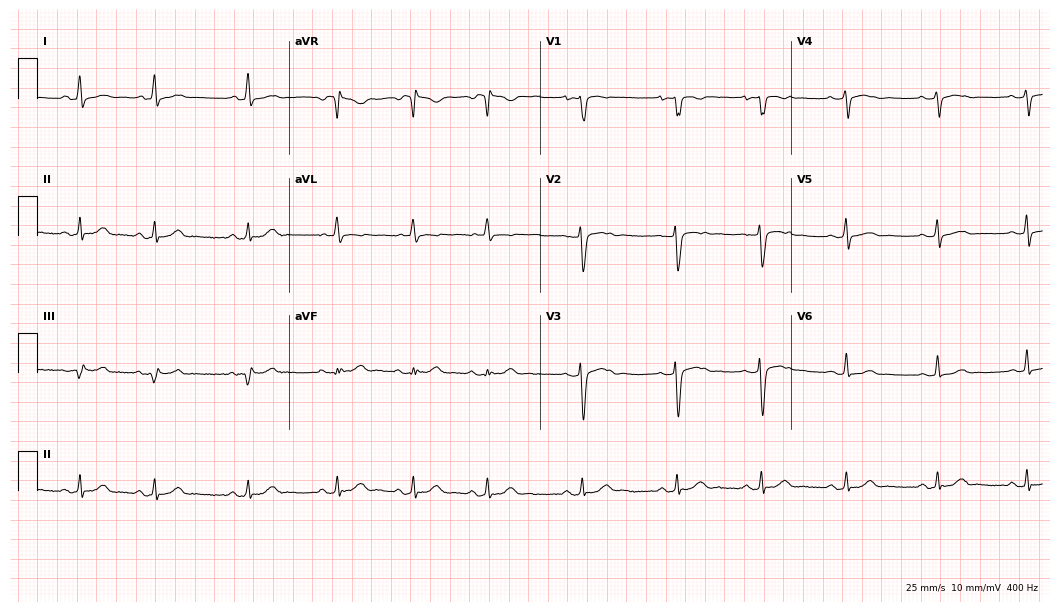
Resting 12-lead electrocardiogram (10.2-second recording at 400 Hz). Patient: a female, 22 years old. None of these six findings is recorded: first-degree AV block, right bundle branch block, left bundle branch block, sinus bradycardia, atrial fibrillation, sinus tachycardia. Findings outside these six are not listed.